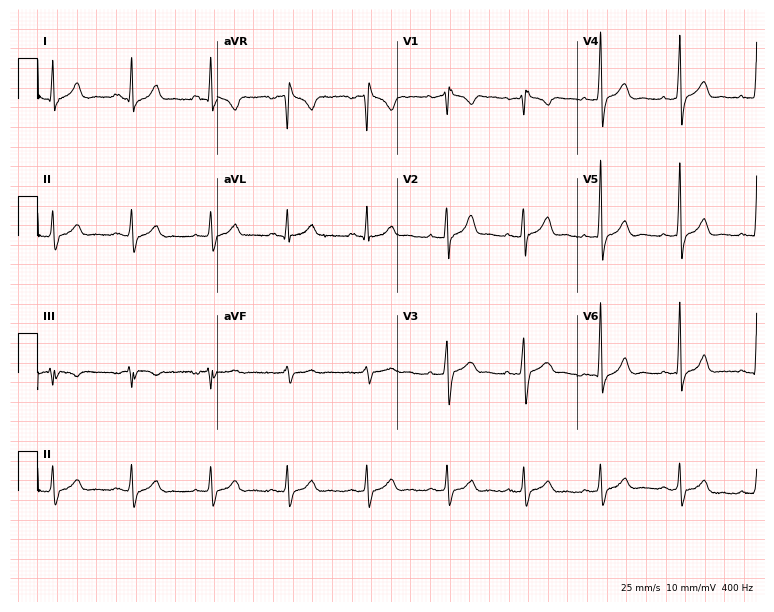
12-lead ECG from a 25-year-old male. Screened for six findings — first-degree AV block, right bundle branch block (RBBB), left bundle branch block (LBBB), sinus bradycardia, atrial fibrillation (AF), sinus tachycardia — none is recorded. Only these six findings were labelled.